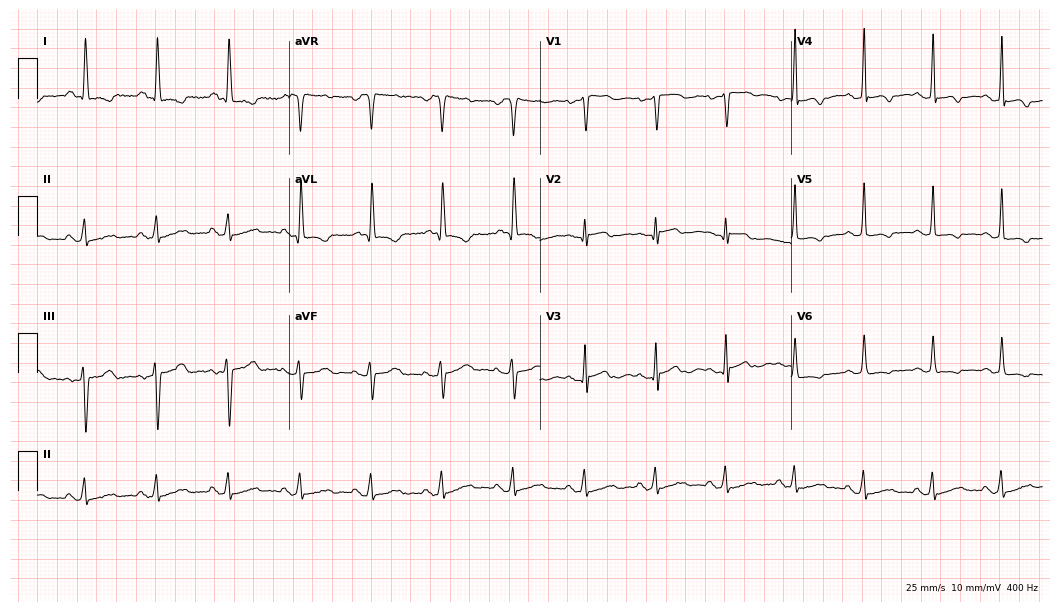
Resting 12-lead electrocardiogram. Patient: a female, 70 years old. None of these six findings is recorded: first-degree AV block, right bundle branch block, left bundle branch block, sinus bradycardia, atrial fibrillation, sinus tachycardia. Only these six findings were labelled.